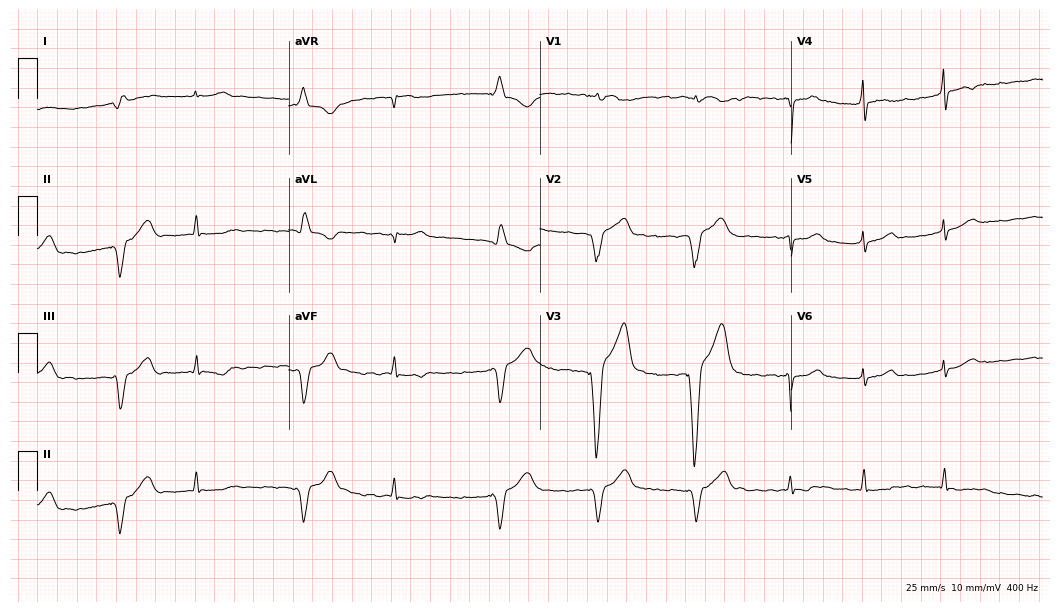
12-lead ECG from a male patient, 61 years old. No first-degree AV block, right bundle branch block, left bundle branch block, sinus bradycardia, atrial fibrillation or sinus tachycardia recorded for this tracing.